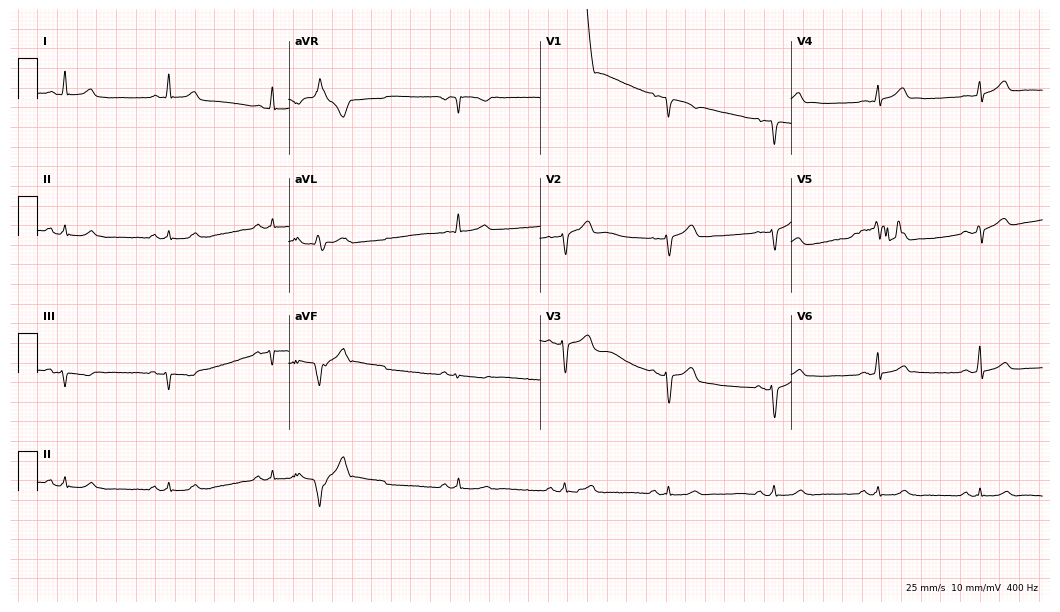
Resting 12-lead electrocardiogram. Patient: a 65-year-old male. None of these six findings is recorded: first-degree AV block, right bundle branch block, left bundle branch block, sinus bradycardia, atrial fibrillation, sinus tachycardia. Only these six findings were labelled.